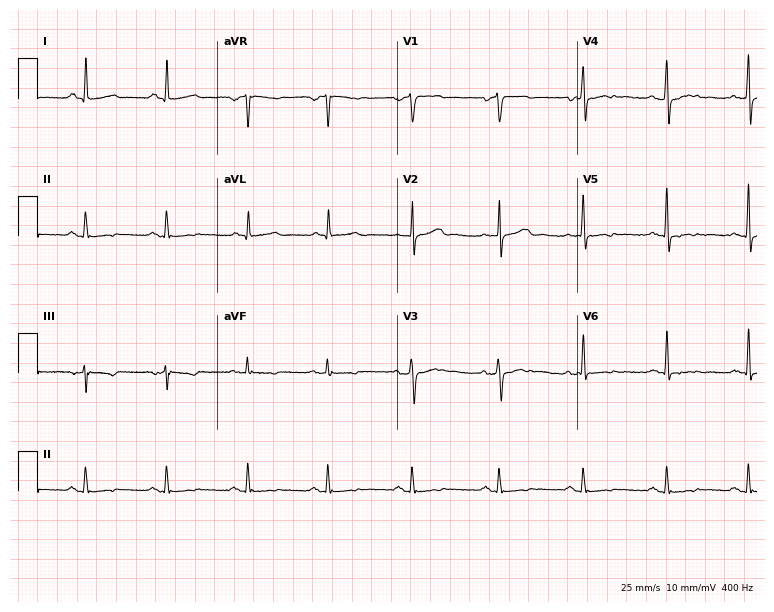
12-lead ECG from a male patient, 45 years old. No first-degree AV block, right bundle branch block, left bundle branch block, sinus bradycardia, atrial fibrillation or sinus tachycardia recorded for this tracing. Findings outside these six are not listed.